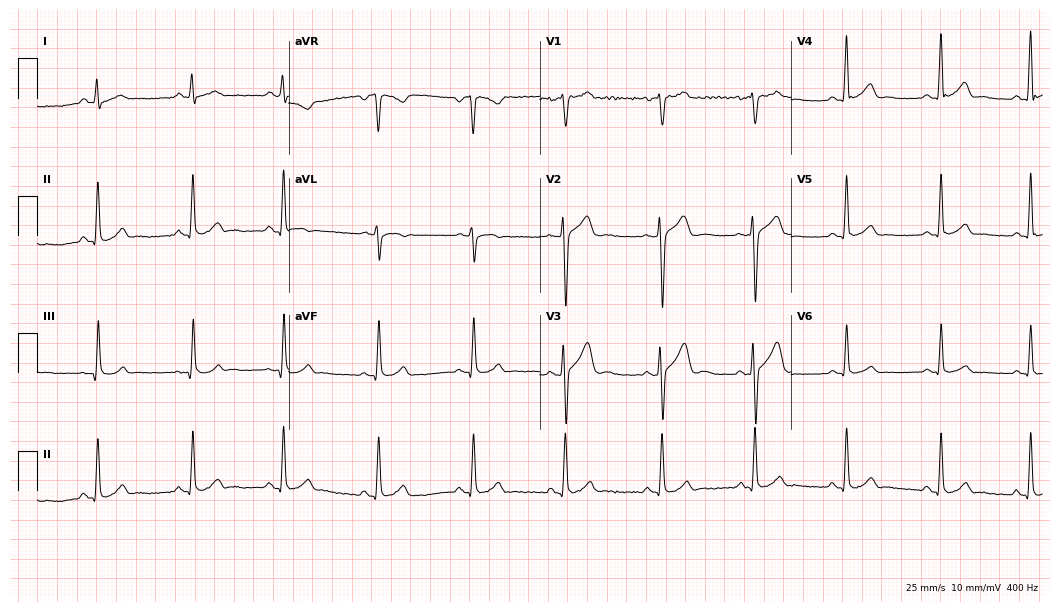
12-lead ECG (10.2-second recording at 400 Hz) from a 27-year-old male. Labelled as a normal ECG.